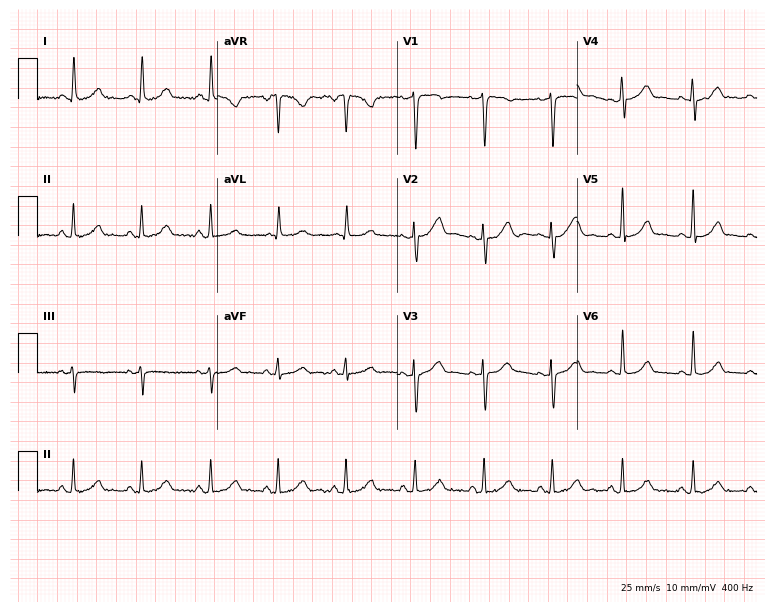
12-lead ECG (7.3-second recording at 400 Hz) from a 38-year-old female patient. Labelled as a normal ECG.